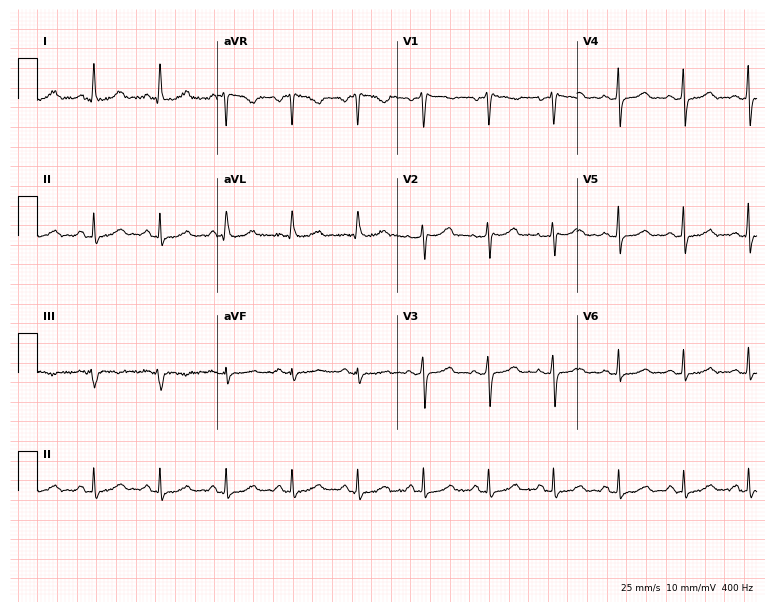
Standard 12-lead ECG recorded from a 54-year-old female patient. Read as a normal ECG.